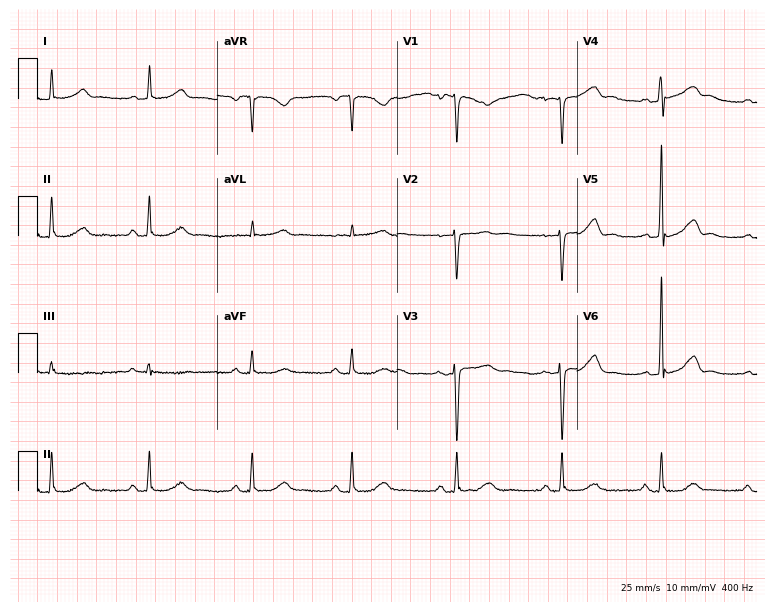
Electrocardiogram, a woman, 53 years old. Of the six screened findings (first-degree AV block, right bundle branch block (RBBB), left bundle branch block (LBBB), sinus bradycardia, atrial fibrillation (AF), sinus tachycardia), none is recorded.